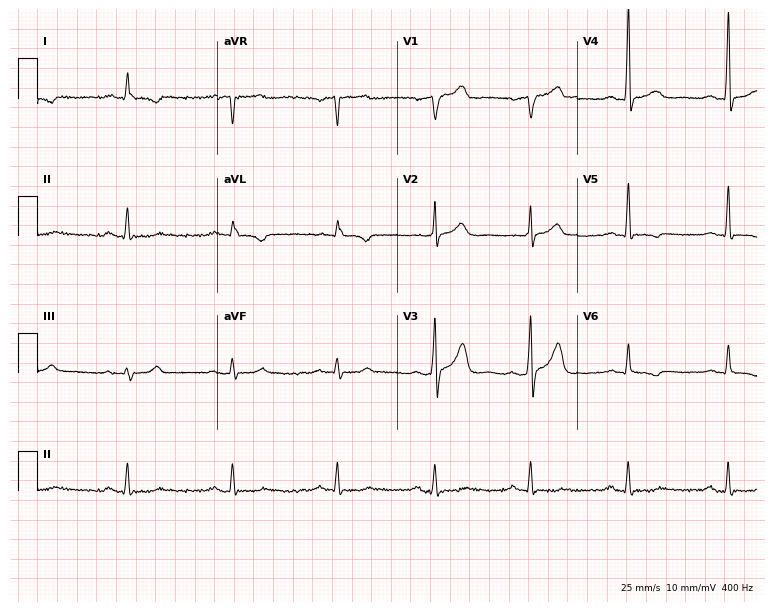
Standard 12-lead ECG recorded from a 71-year-old man (7.3-second recording at 400 Hz). None of these six findings is recorded: first-degree AV block, right bundle branch block (RBBB), left bundle branch block (LBBB), sinus bradycardia, atrial fibrillation (AF), sinus tachycardia. Only these six findings were labelled.